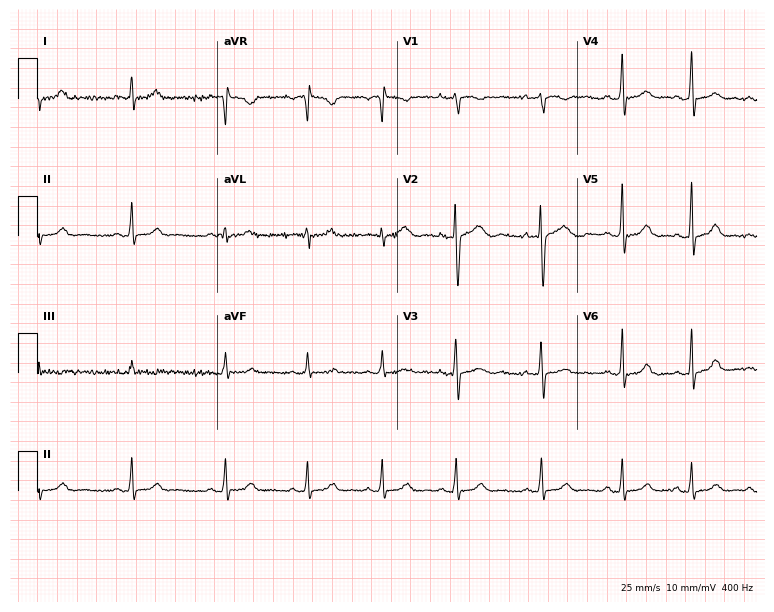
Resting 12-lead electrocardiogram. Patient: a female, 21 years old. Read as a normal ECG.